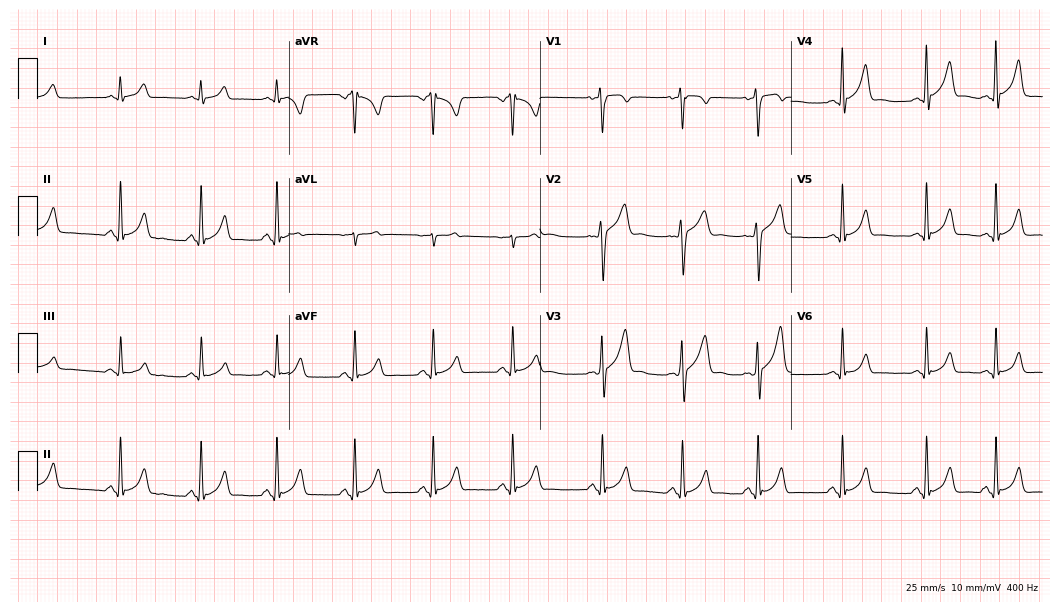
12-lead ECG (10.2-second recording at 400 Hz) from a 32-year-old man. Labelled as a normal ECG.